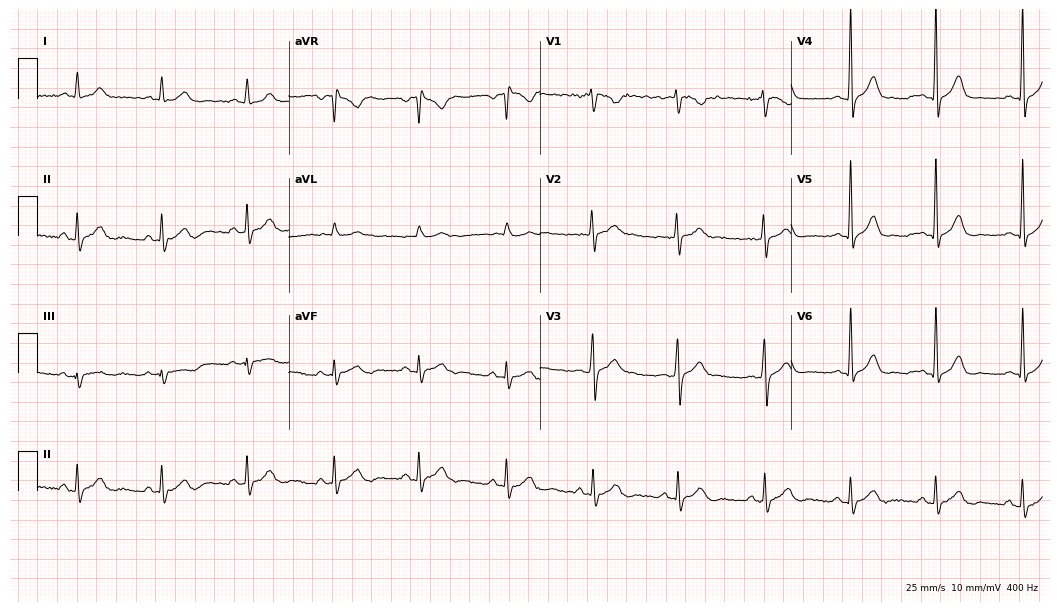
12-lead ECG (10.2-second recording at 400 Hz) from a man, 24 years old. Screened for six findings — first-degree AV block, right bundle branch block, left bundle branch block, sinus bradycardia, atrial fibrillation, sinus tachycardia — none is recorded. Other findings, if any, are not listed.